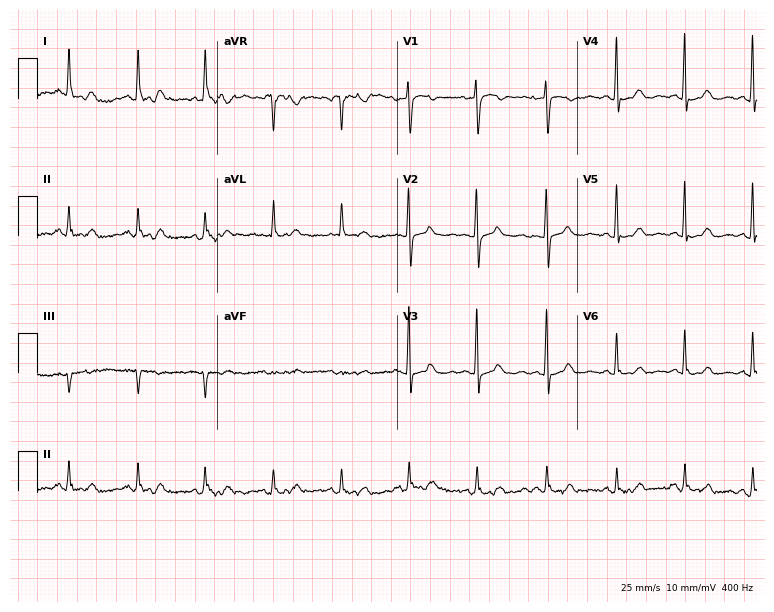
12-lead ECG (7.3-second recording at 400 Hz) from a 70-year-old woman. Screened for six findings — first-degree AV block, right bundle branch block (RBBB), left bundle branch block (LBBB), sinus bradycardia, atrial fibrillation (AF), sinus tachycardia — none is recorded.